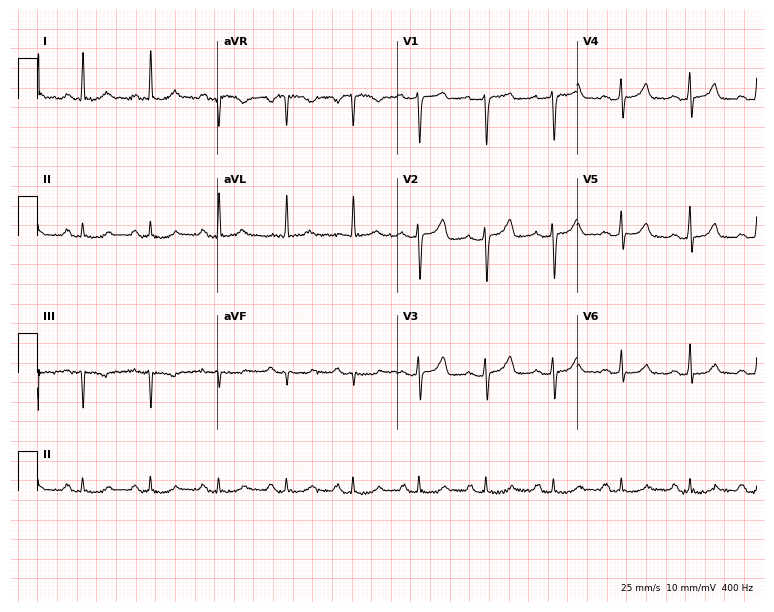
ECG — a female, 71 years old. Screened for six findings — first-degree AV block, right bundle branch block (RBBB), left bundle branch block (LBBB), sinus bradycardia, atrial fibrillation (AF), sinus tachycardia — none is recorded.